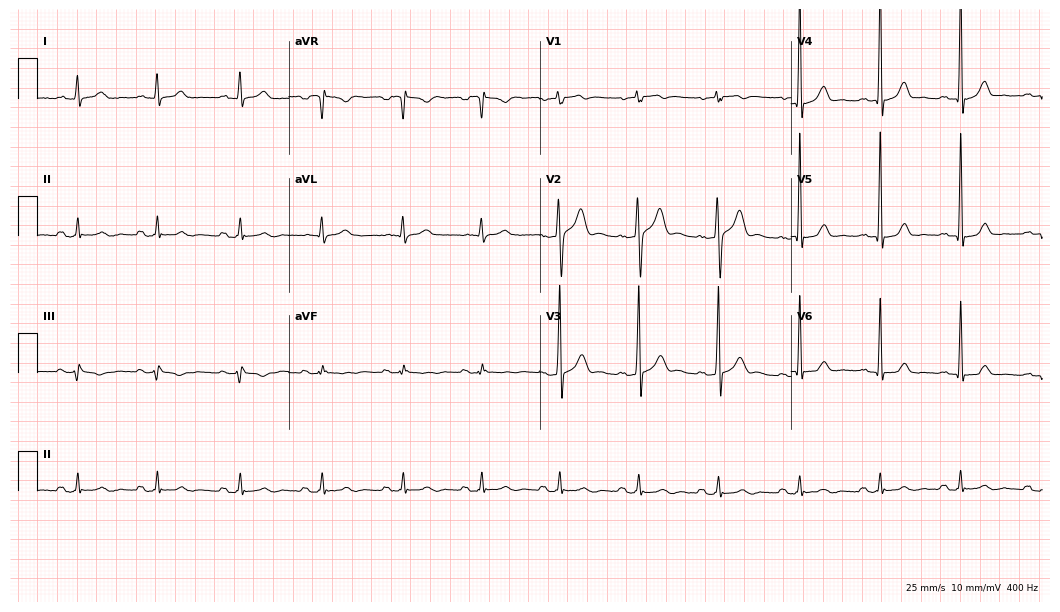
12-lead ECG (10.2-second recording at 400 Hz) from a man, 34 years old. Screened for six findings — first-degree AV block, right bundle branch block, left bundle branch block, sinus bradycardia, atrial fibrillation, sinus tachycardia — none is recorded.